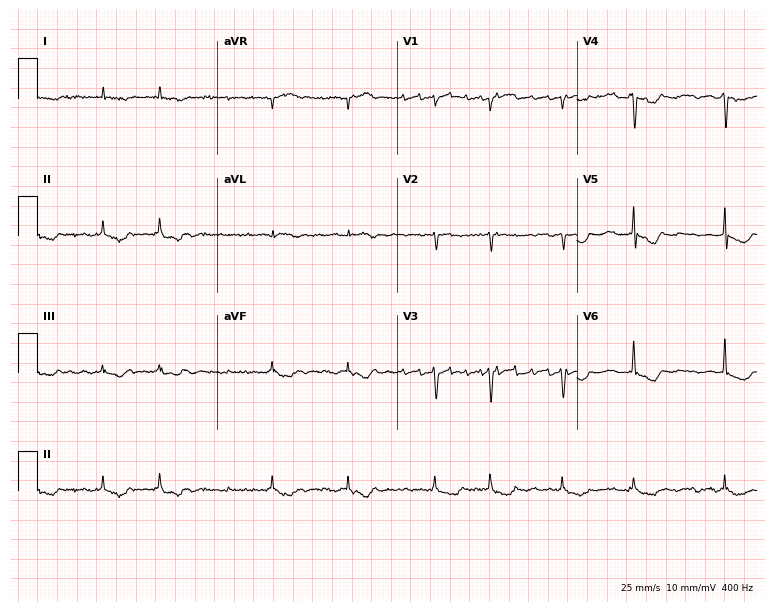
Standard 12-lead ECG recorded from a woman, 79 years old (7.3-second recording at 400 Hz). The tracing shows atrial fibrillation (AF).